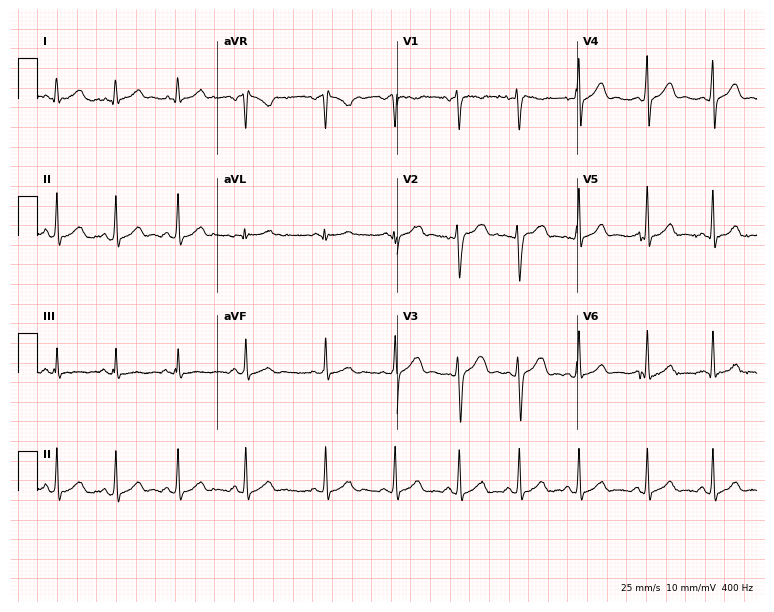
Electrocardiogram (7.3-second recording at 400 Hz), an 18-year-old woman. Overall reading on record: normal ECG.